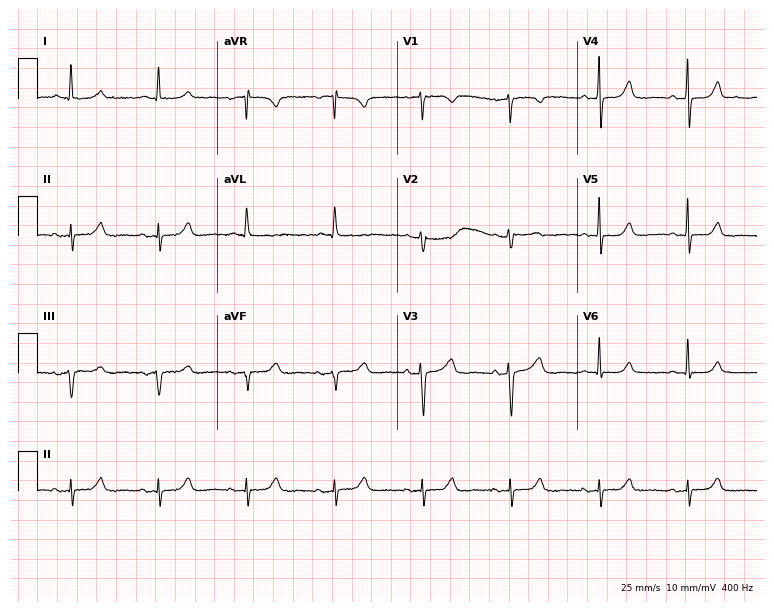
ECG — an 83-year-old female. Labelled as a normal ECG.